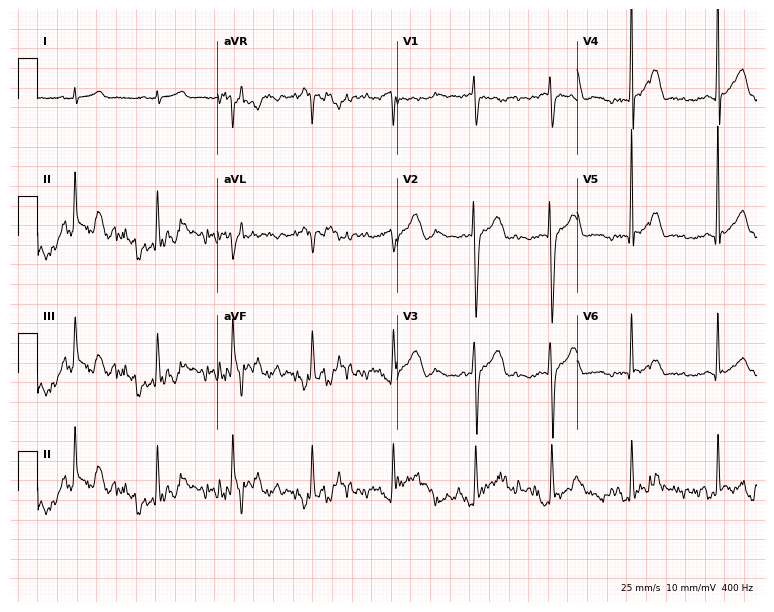
12-lead ECG from a male patient, 17 years old. No first-degree AV block, right bundle branch block, left bundle branch block, sinus bradycardia, atrial fibrillation or sinus tachycardia recorded for this tracing.